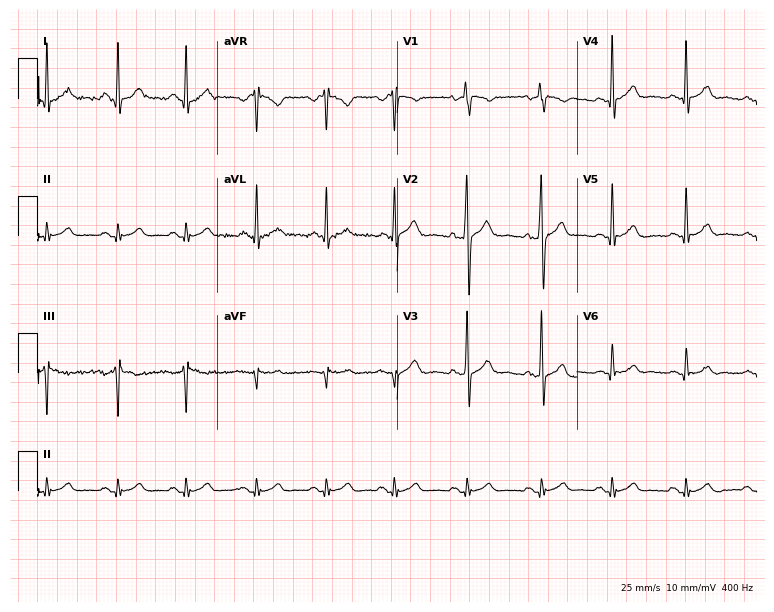
Electrocardiogram, a 25-year-old male patient. Overall reading on record: normal ECG.